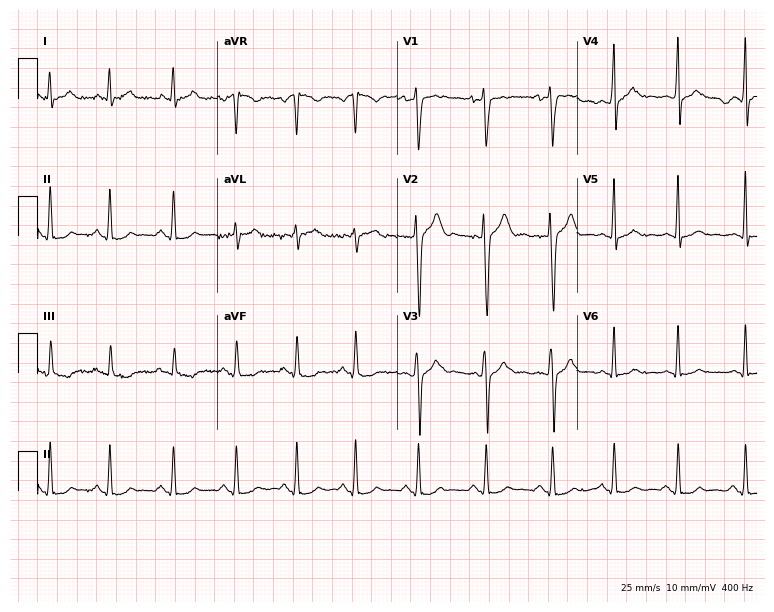
Standard 12-lead ECG recorded from a man, 21 years old (7.3-second recording at 400 Hz). None of these six findings is recorded: first-degree AV block, right bundle branch block (RBBB), left bundle branch block (LBBB), sinus bradycardia, atrial fibrillation (AF), sinus tachycardia.